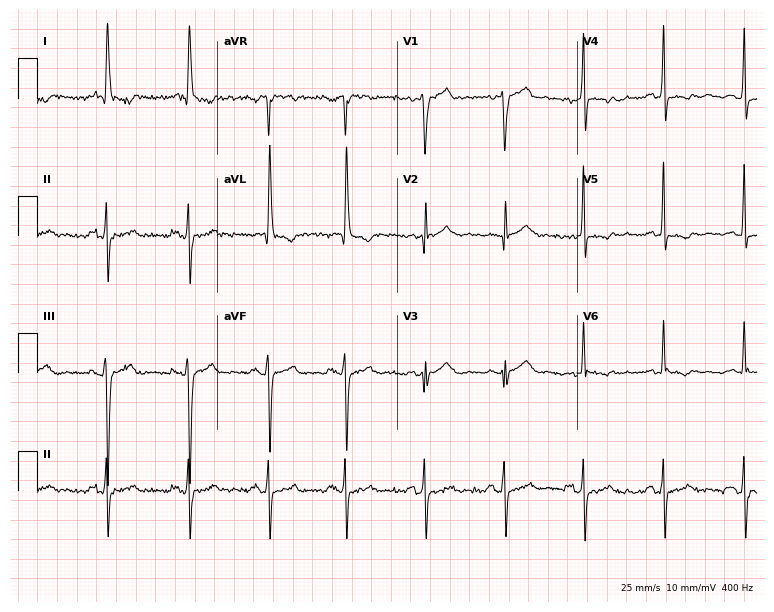
Electrocardiogram (7.3-second recording at 400 Hz), a 69-year-old woman. Of the six screened findings (first-degree AV block, right bundle branch block, left bundle branch block, sinus bradycardia, atrial fibrillation, sinus tachycardia), none is recorded.